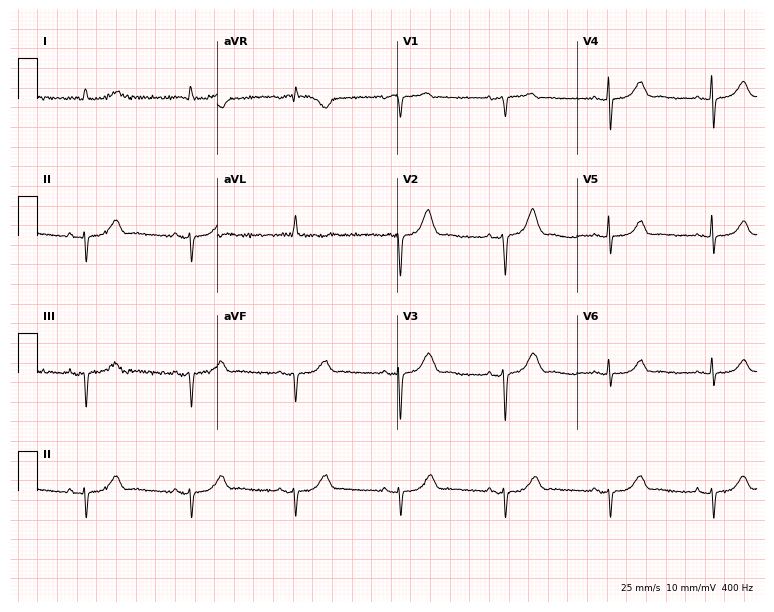
12-lead ECG from a female, 80 years old. No first-degree AV block, right bundle branch block, left bundle branch block, sinus bradycardia, atrial fibrillation or sinus tachycardia recorded for this tracing.